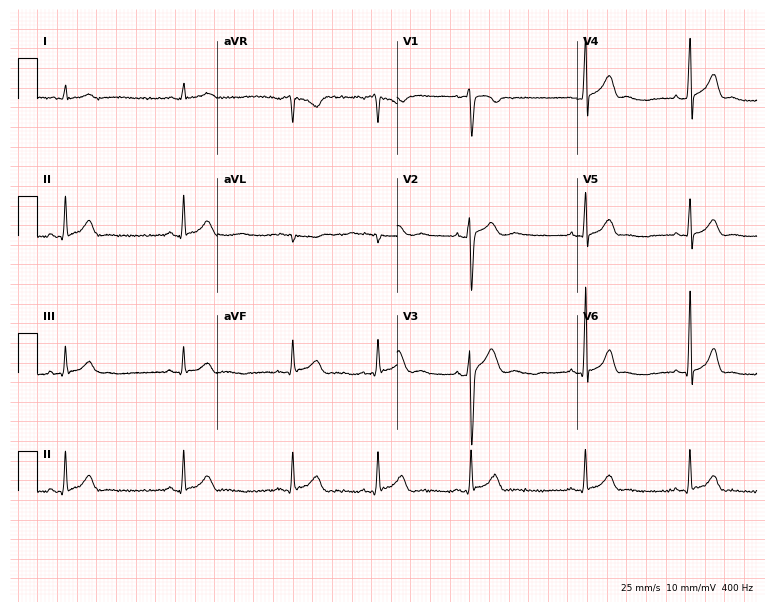
Electrocardiogram, a 20-year-old man. Overall reading on record: normal ECG.